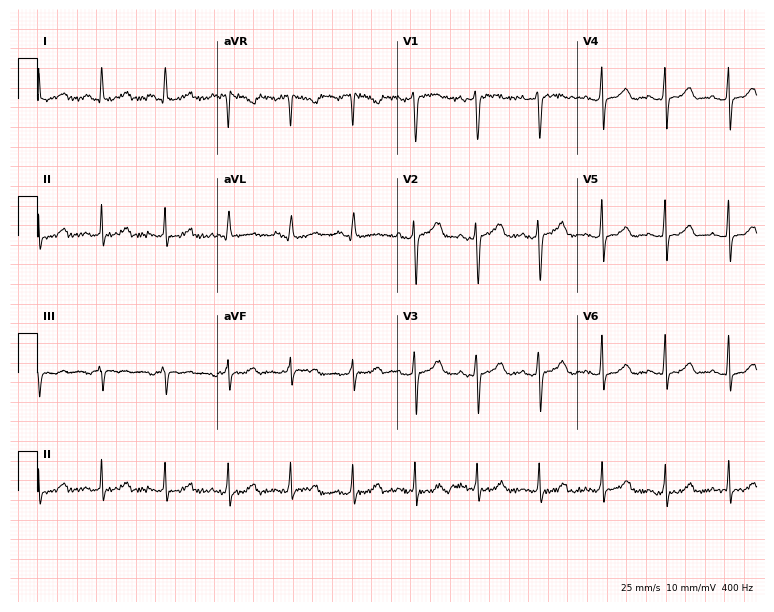
12-lead ECG from a female patient, 40 years old. Screened for six findings — first-degree AV block, right bundle branch block, left bundle branch block, sinus bradycardia, atrial fibrillation, sinus tachycardia — none is recorded.